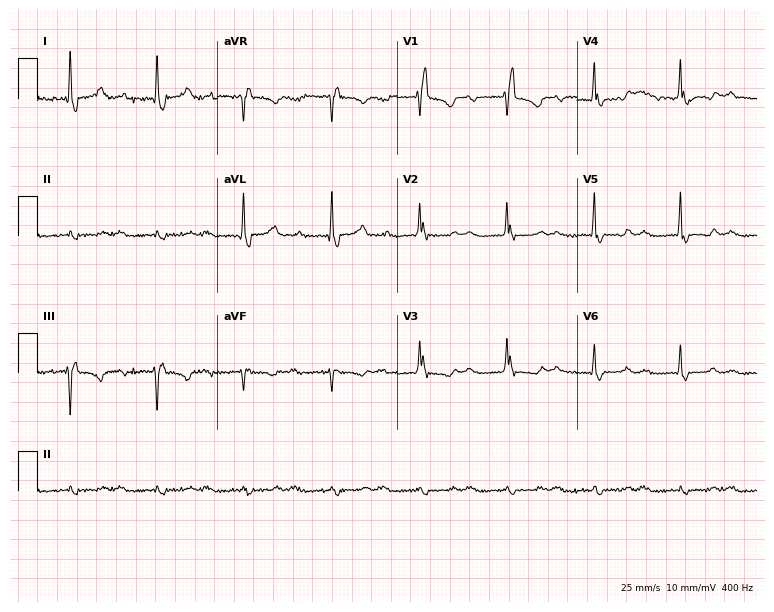
ECG (7.3-second recording at 400 Hz) — a woman, 73 years old. Screened for six findings — first-degree AV block, right bundle branch block (RBBB), left bundle branch block (LBBB), sinus bradycardia, atrial fibrillation (AF), sinus tachycardia — none is recorded.